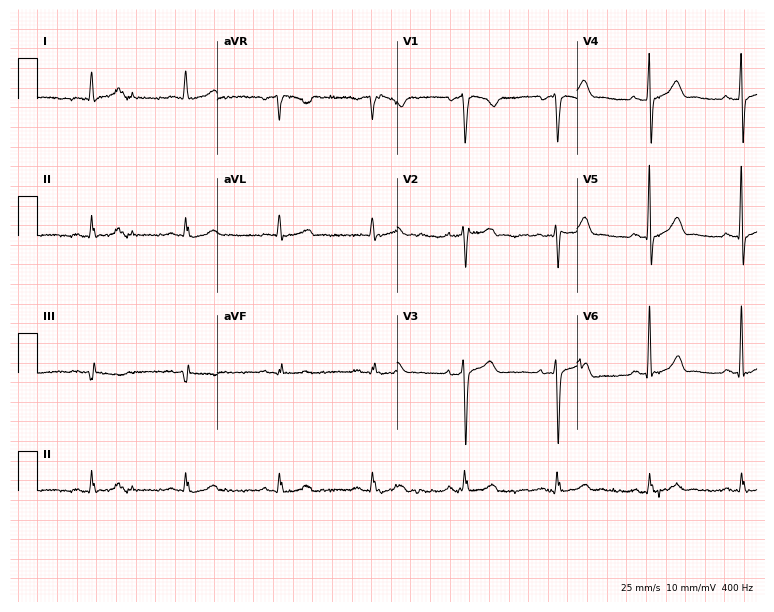
Electrocardiogram (7.3-second recording at 400 Hz), a 56-year-old female. Overall reading on record: normal ECG.